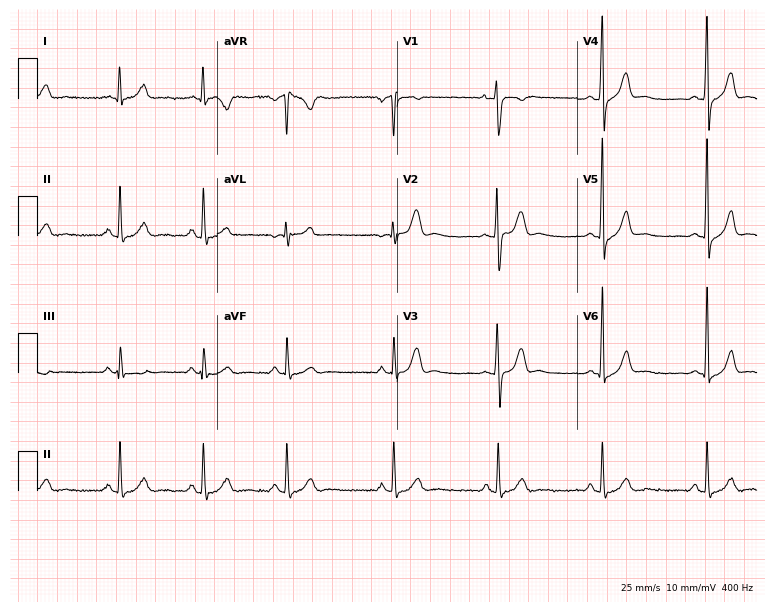
Standard 12-lead ECG recorded from a 24-year-old man (7.3-second recording at 400 Hz). None of these six findings is recorded: first-degree AV block, right bundle branch block (RBBB), left bundle branch block (LBBB), sinus bradycardia, atrial fibrillation (AF), sinus tachycardia. Only these six findings were labelled.